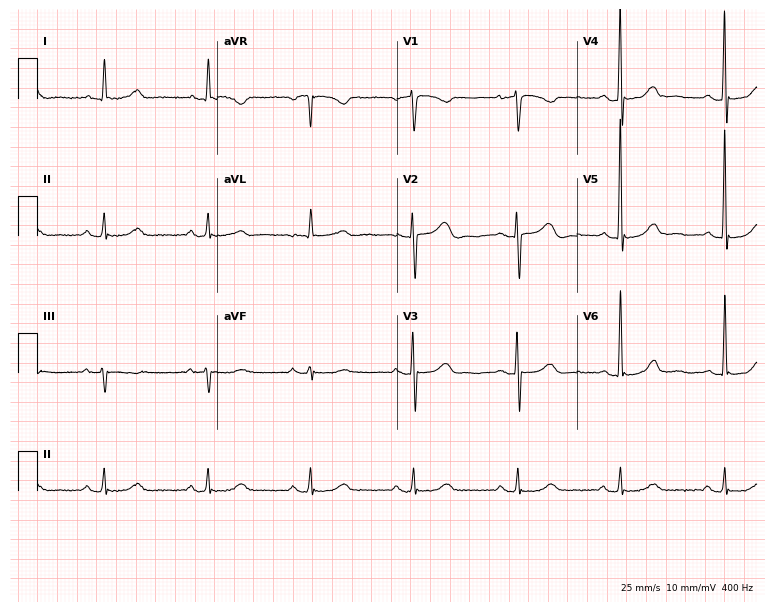
12-lead ECG from a woman, 68 years old (7.3-second recording at 400 Hz). Recorded interpretation: within normal limits.